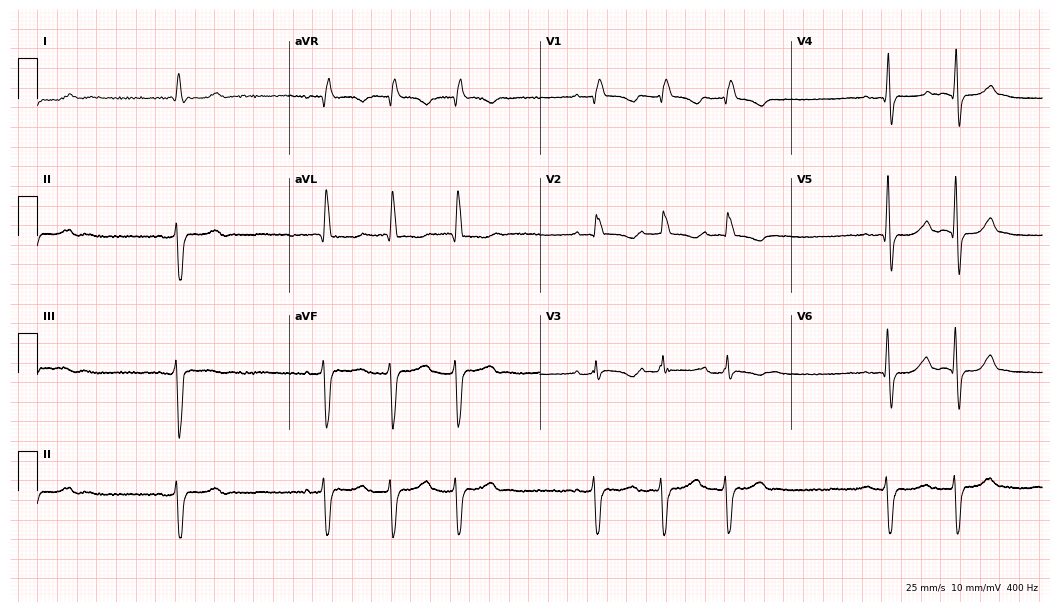
Resting 12-lead electrocardiogram. Patient: a female, 82 years old. None of these six findings is recorded: first-degree AV block, right bundle branch block, left bundle branch block, sinus bradycardia, atrial fibrillation, sinus tachycardia. Findings outside these six are not listed.